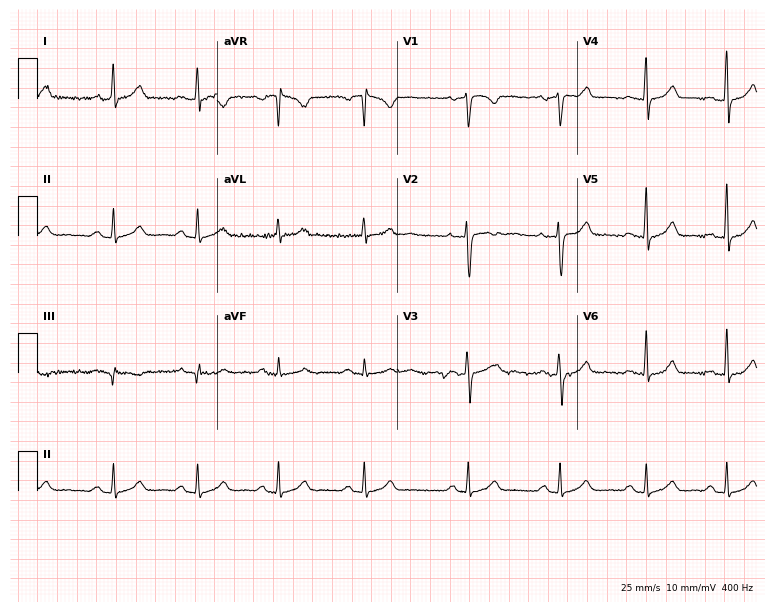
Resting 12-lead electrocardiogram. Patient: a woman, 31 years old. Read as a normal ECG.